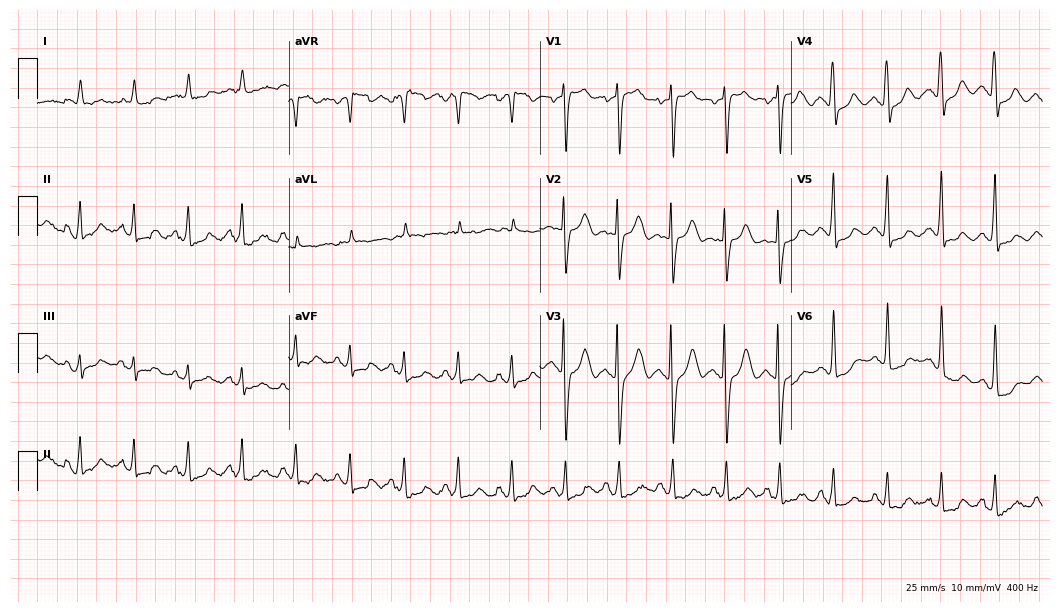
12-lead ECG (10.2-second recording at 400 Hz) from a female patient, 70 years old. Screened for six findings — first-degree AV block, right bundle branch block (RBBB), left bundle branch block (LBBB), sinus bradycardia, atrial fibrillation (AF), sinus tachycardia — none is recorded.